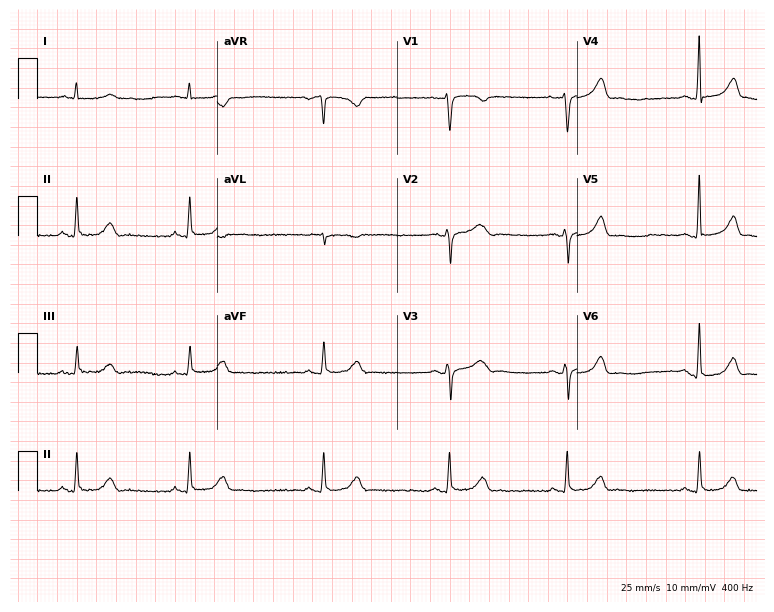
Resting 12-lead electrocardiogram (7.3-second recording at 400 Hz). Patient: a 55-year-old female. The tracing shows sinus bradycardia (a sinus rate of 50 beats per minute or less).